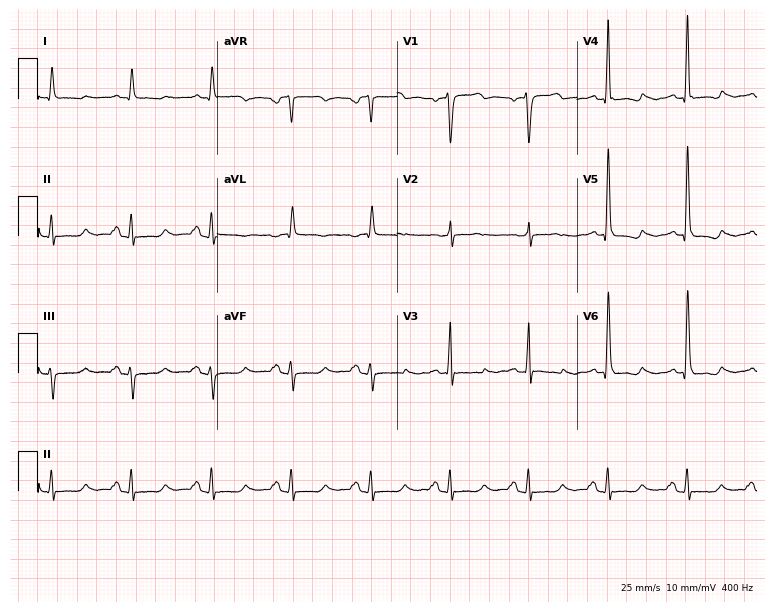
Resting 12-lead electrocardiogram (7.3-second recording at 400 Hz). Patient: a 49-year-old male. None of these six findings is recorded: first-degree AV block, right bundle branch block, left bundle branch block, sinus bradycardia, atrial fibrillation, sinus tachycardia.